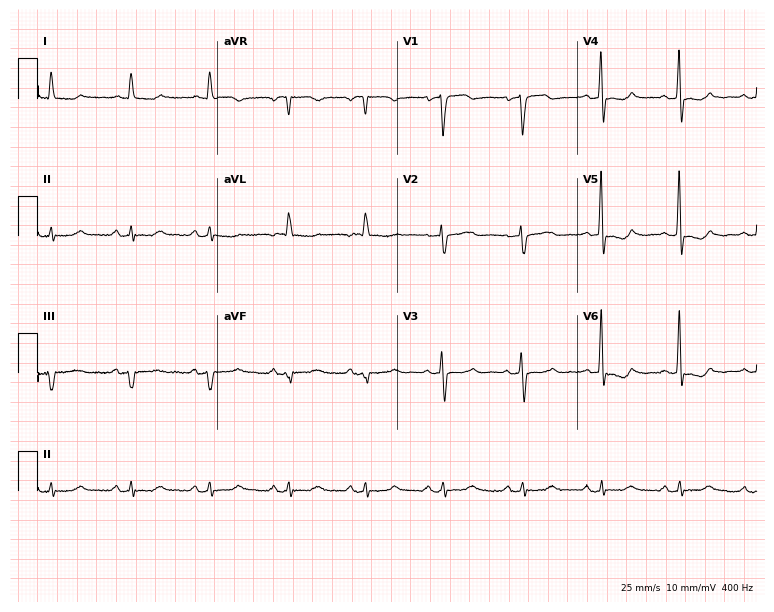
12-lead ECG (7.3-second recording at 400 Hz) from a 76-year-old female. Screened for six findings — first-degree AV block, right bundle branch block, left bundle branch block, sinus bradycardia, atrial fibrillation, sinus tachycardia — none is recorded. Only these six findings were labelled.